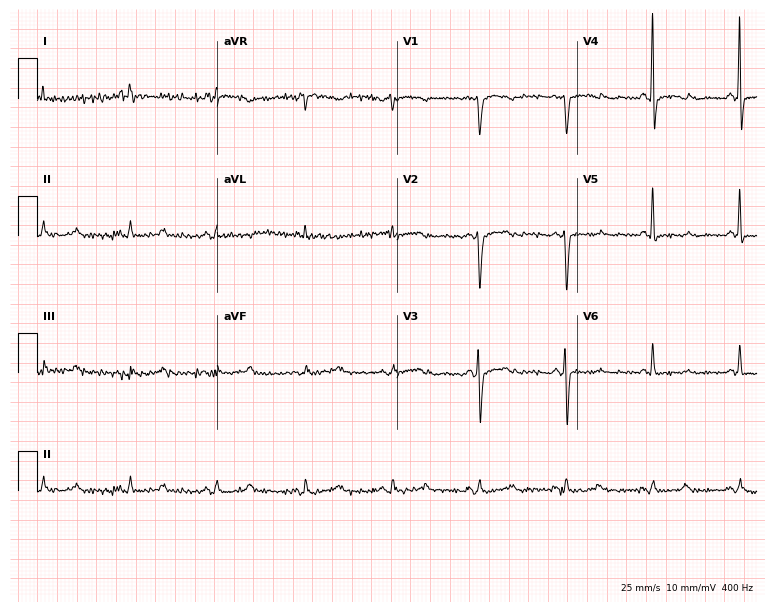
ECG — a female, 59 years old. Screened for six findings — first-degree AV block, right bundle branch block, left bundle branch block, sinus bradycardia, atrial fibrillation, sinus tachycardia — none is recorded.